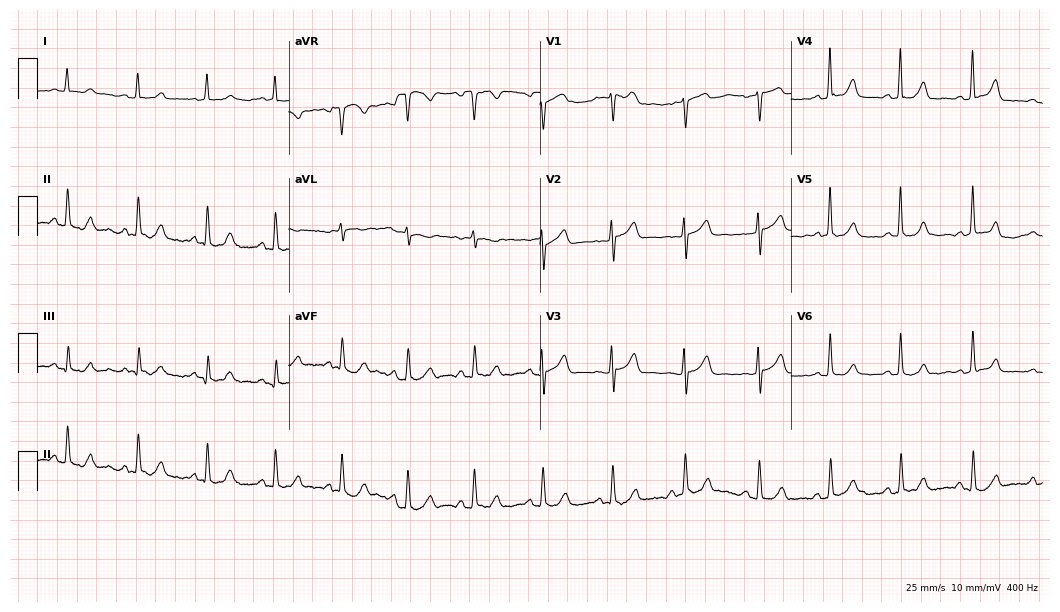
Standard 12-lead ECG recorded from a 65-year-old male. Read as a normal ECG.